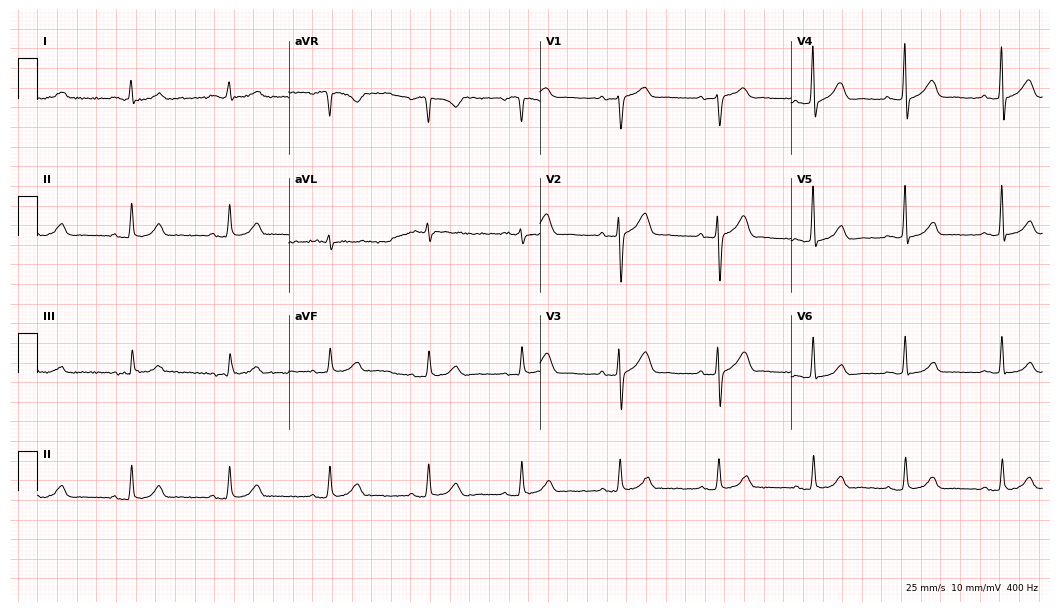
Electrocardiogram, a man, 84 years old. Overall reading on record: normal ECG.